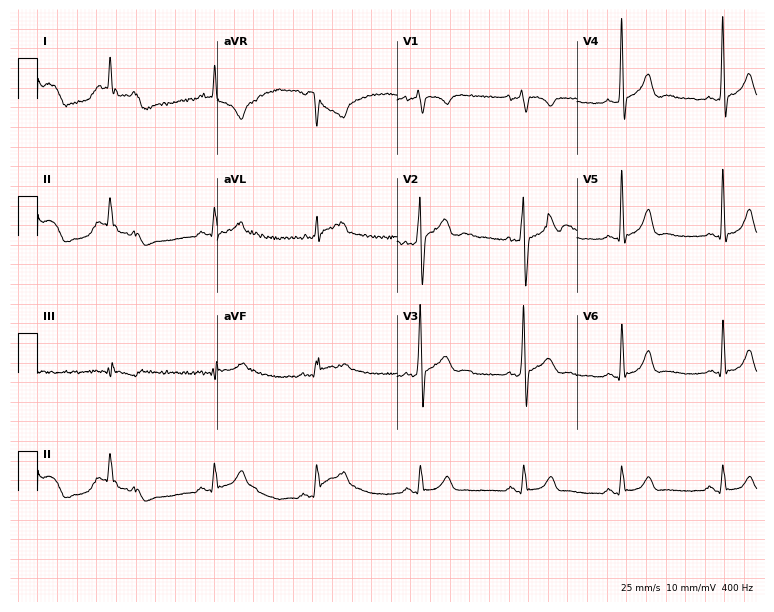
Standard 12-lead ECG recorded from a male, 38 years old (7.3-second recording at 400 Hz). Read as a normal ECG.